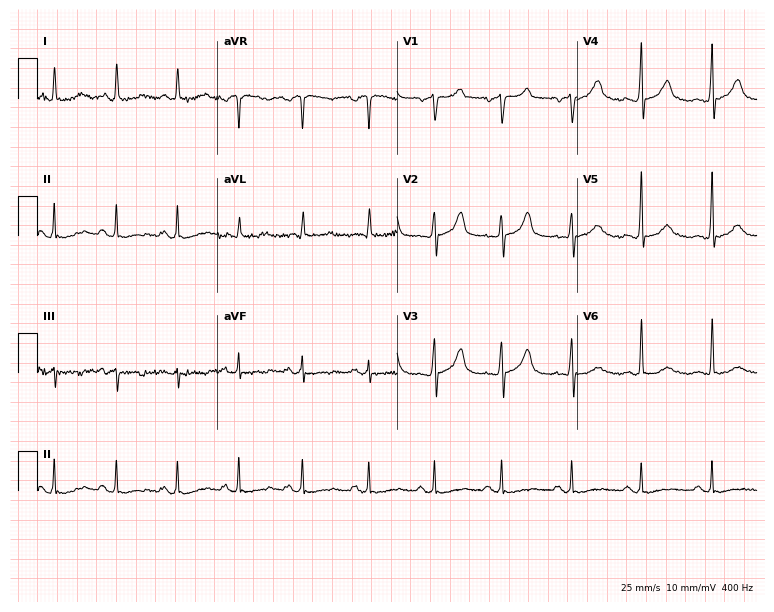
12-lead ECG from a man, 27 years old. Screened for six findings — first-degree AV block, right bundle branch block, left bundle branch block, sinus bradycardia, atrial fibrillation, sinus tachycardia — none is recorded. Other findings, if any, are not listed.